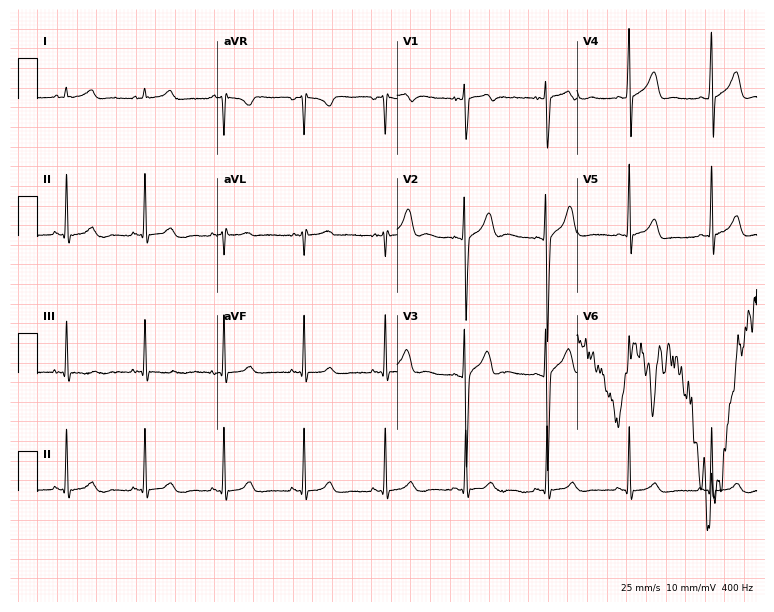
12-lead ECG from a 22-year-old male patient (7.3-second recording at 400 Hz). Recorded interpretation: within normal limits.